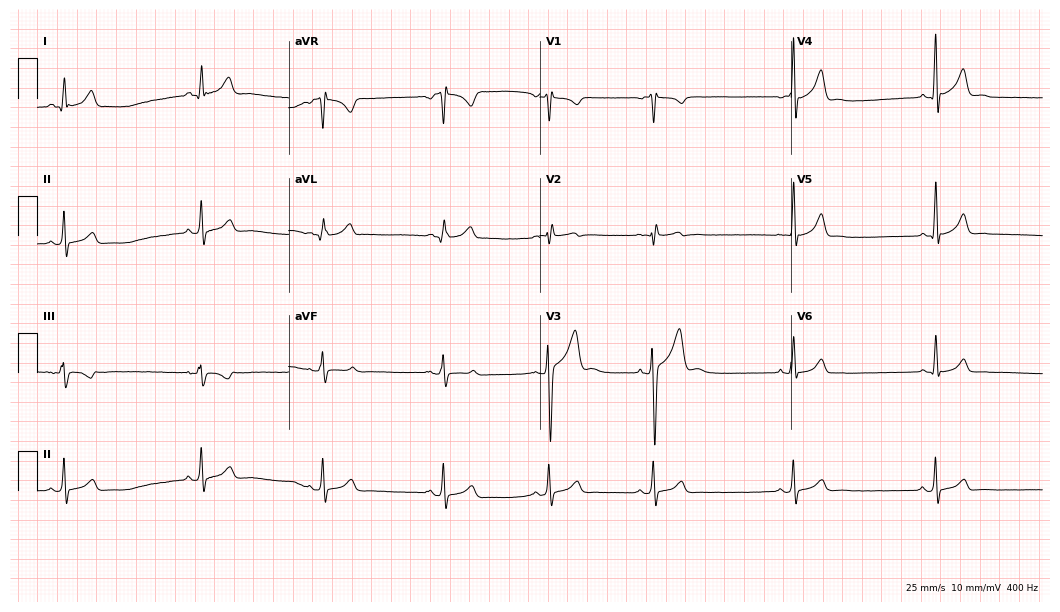
Standard 12-lead ECG recorded from a 17-year-old male patient. None of these six findings is recorded: first-degree AV block, right bundle branch block, left bundle branch block, sinus bradycardia, atrial fibrillation, sinus tachycardia.